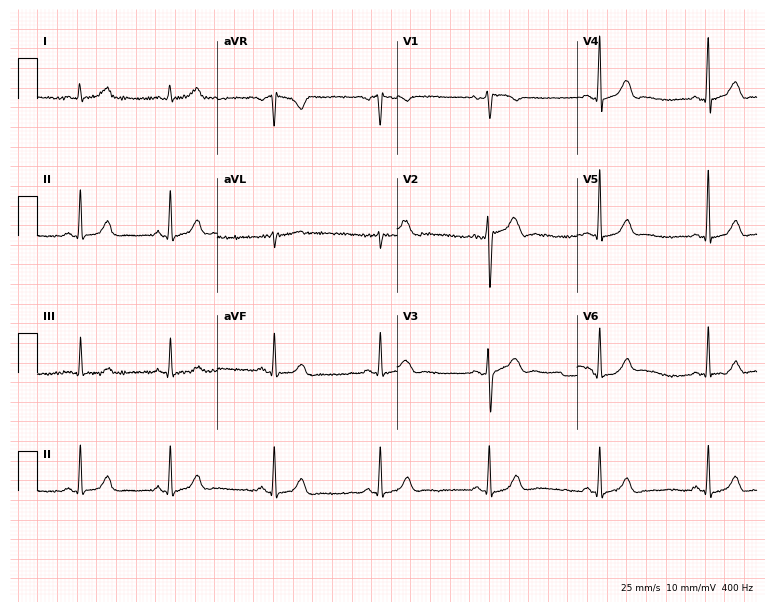
Electrocardiogram, a 67-year-old male patient. Of the six screened findings (first-degree AV block, right bundle branch block (RBBB), left bundle branch block (LBBB), sinus bradycardia, atrial fibrillation (AF), sinus tachycardia), none is recorded. Other findings, if any, are not listed.